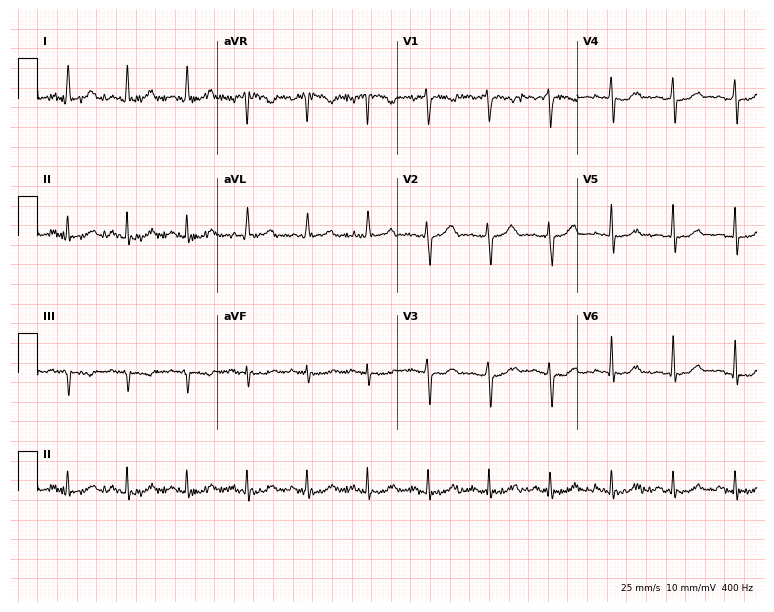
Resting 12-lead electrocardiogram (7.3-second recording at 400 Hz). Patient: a female, 39 years old. None of these six findings is recorded: first-degree AV block, right bundle branch block (RBBB), left bundle branch block (LBBB), sinus bradycardia, atrial fibrillation (AF), sinus tachycardia. Only these six findings were labelled.